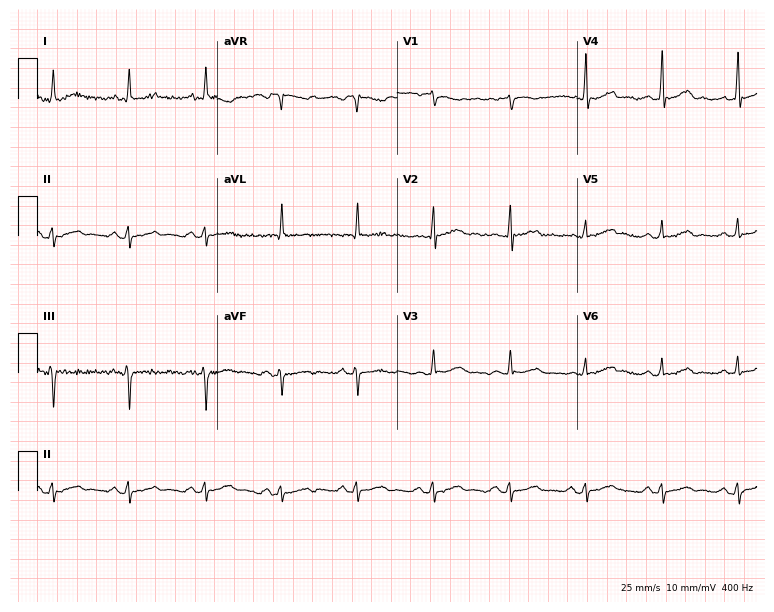
Resting 12-lead electrocardiogram (7.3-second recording at 400 Hz). Patient: a female, 84 years old. Read as a normal ECG.